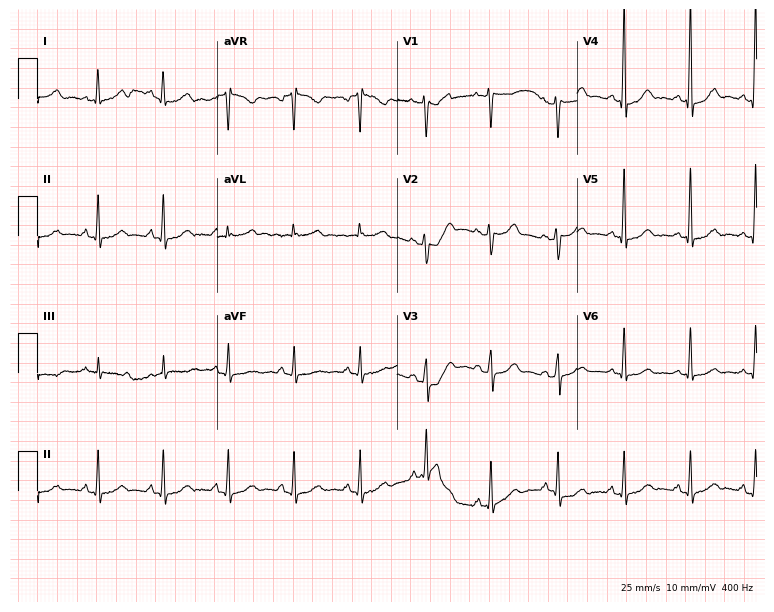
Electrocardiogram, a 54-year-old female. Of the six screened findings (first-degree AV block, right bundle branch block (RBBB), left bundle branch block (LBBB), sinus bradycardia, atrial fibrillation (AF), sinus tachycardia), none is recorded.